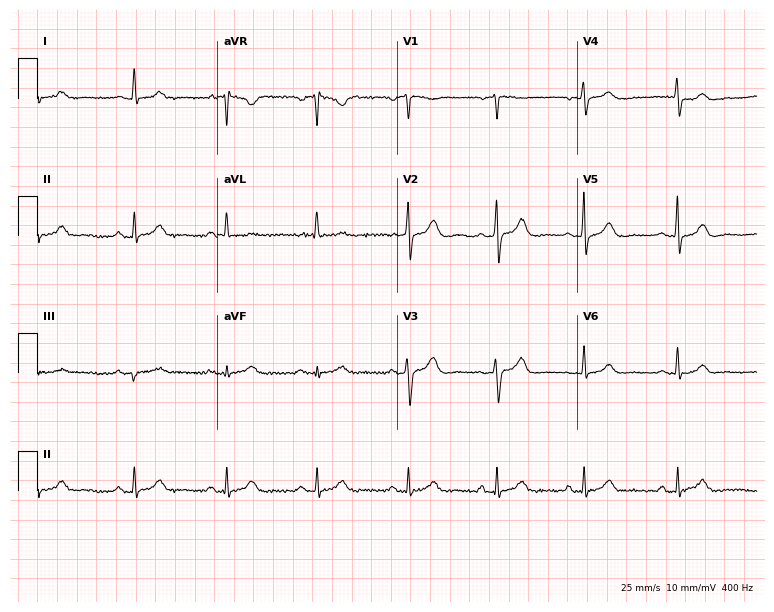
Standard 12-lead ECG recorded from a 70-year-old male patient. None of these six findings is recorded: first-degree AV block, right bundle branch block (RBBB), left bundle branch block (LBBB), sinus bradycardia, atrial fibrillation (AF), sinus tachycardia. Findings outside these six are not listed.